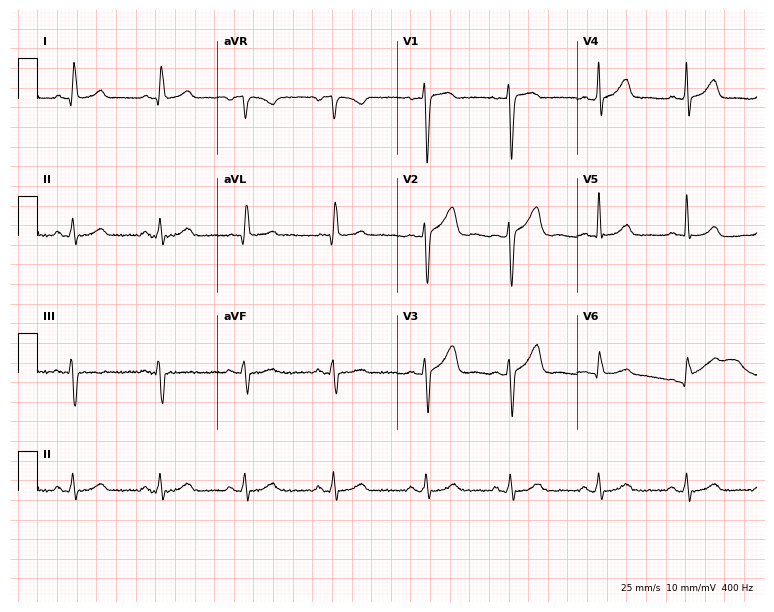
ECG (7.3-second recording at 400 Hz) — a 60-year-old female. Labelled as a normal ECG.